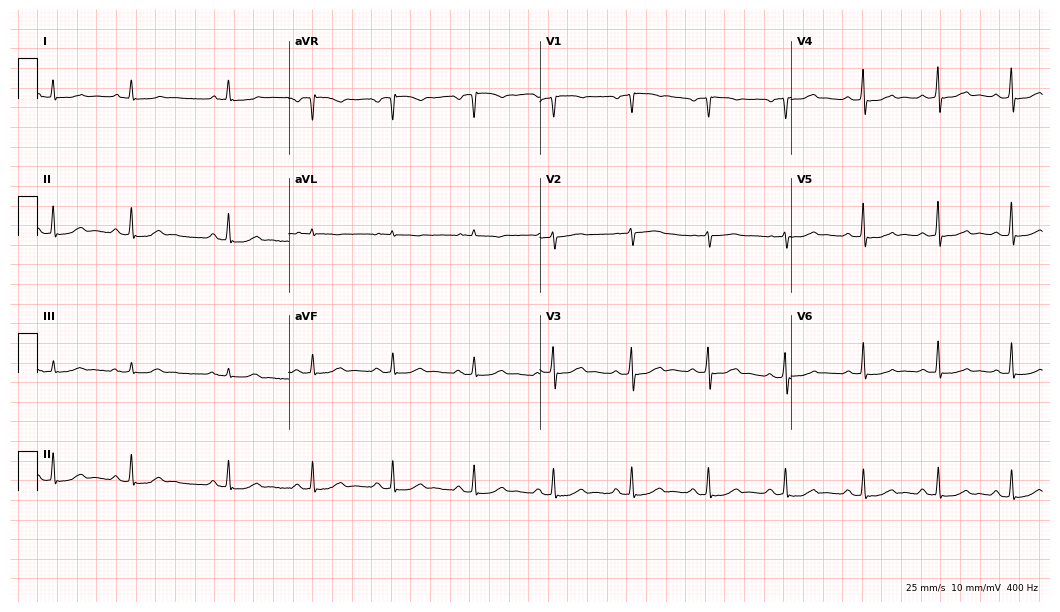
12-lead ECG (10.2-second recording at 400 Hz) from a man, 75 years old. Labelled as a normal ECG.